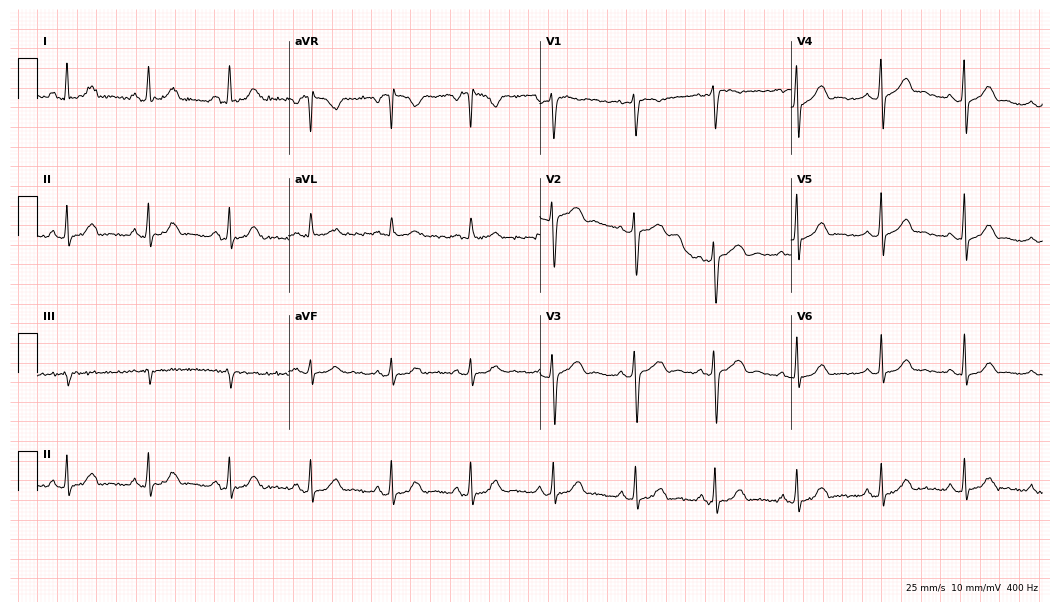
Resting 12-lead electrocardiogram (10.2-second recording at 400 Hz). Patient: a female, 36 years old. None of these six findings is recorded: first-degree AV block, right bundle branch block, left bundle branch block, sinus bradycardia, atrial fibrillation, sinus tachycardia. Findings outside these six are not listed.